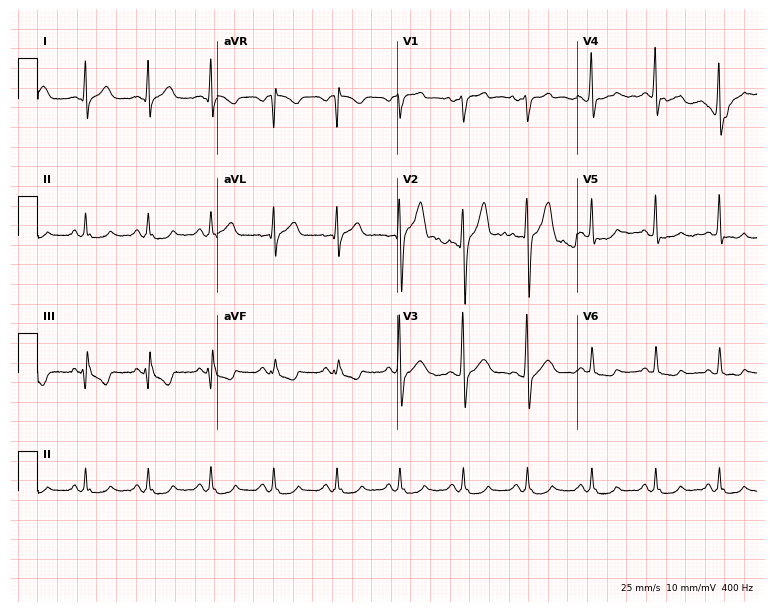
12-lead ECG (7.3-second recording at 400 Hz) from a 56-year-old male. Screened for six findings — first-degree AV block, right bundle branch block, left bundle branch block, sinus bradycardia, atrial fibrillation, sinus tachycardia — none is recorded.